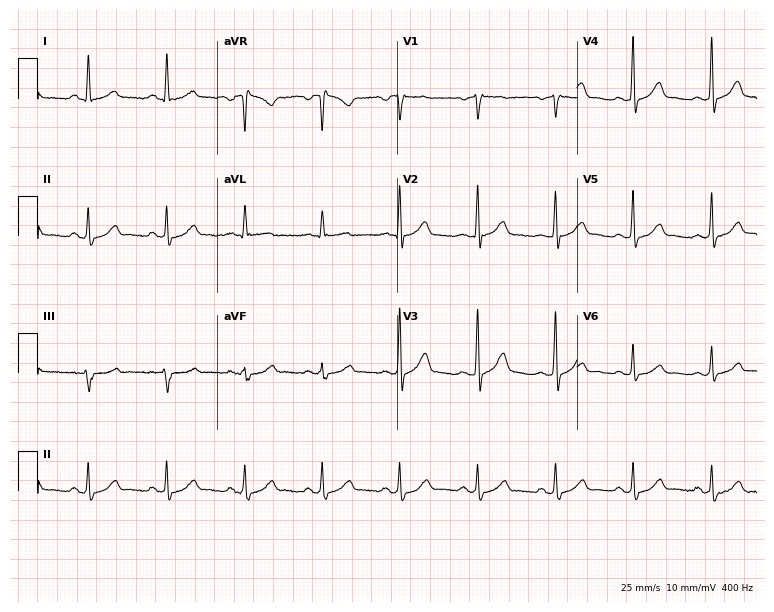
ECG — a 60-year-old man. Labelled as a normal ECG.